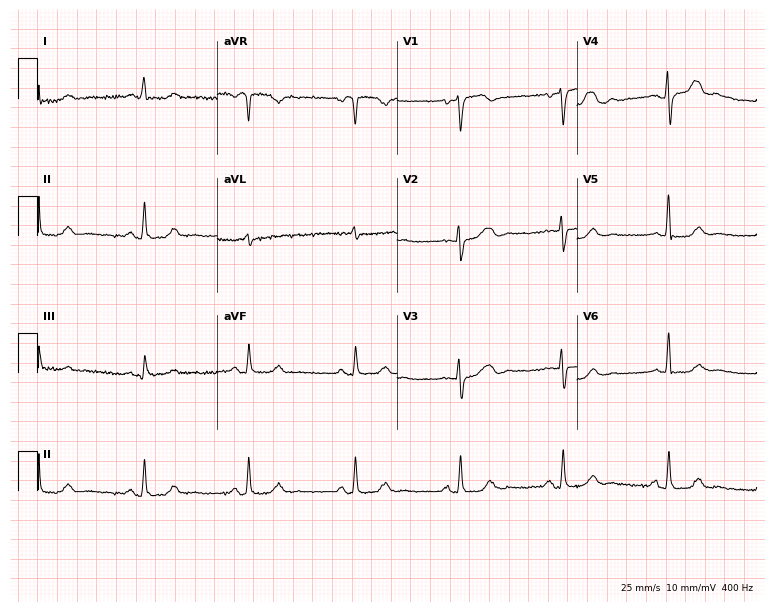
Standard 12-lead ECG recorded from a woman, 74 years old. None of these six findings is recorded: first-degree AV block, right bundle branch block, left bundle branch block, sinus bradycardia, atrial fibrillation, sinus tachycardia.